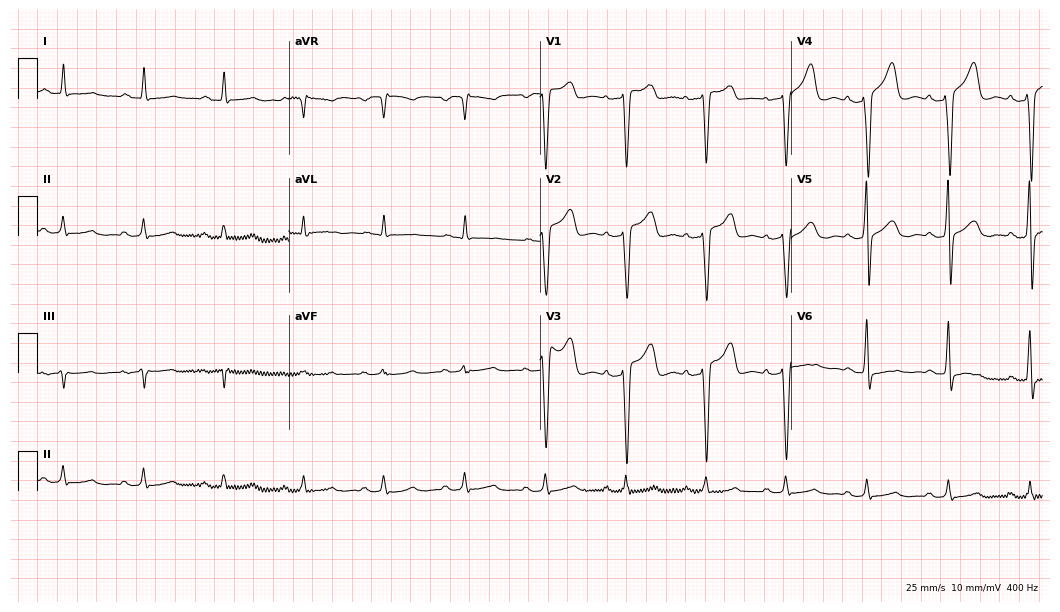
Resting 12-lead electrocardiogram (10.2-second recording at 400 Hz). Patient: a male, 69 years old. Read as a normal ECG.